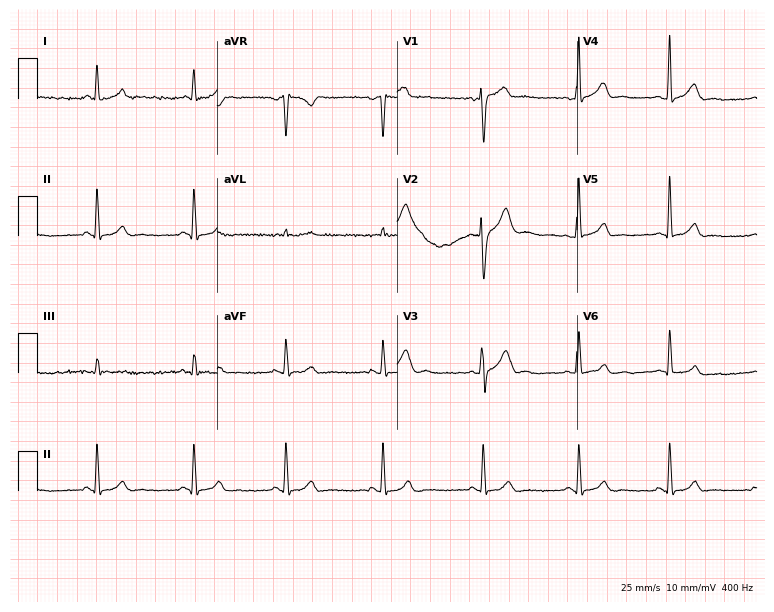
Electrocardiogram, a 31-year-old man. Of the six screened findings (first-degree AV block, right bundle branch block, left bundle branch block, sinus bradycardia, atrial fibrillation, sinus tachycardia), none is recorded.